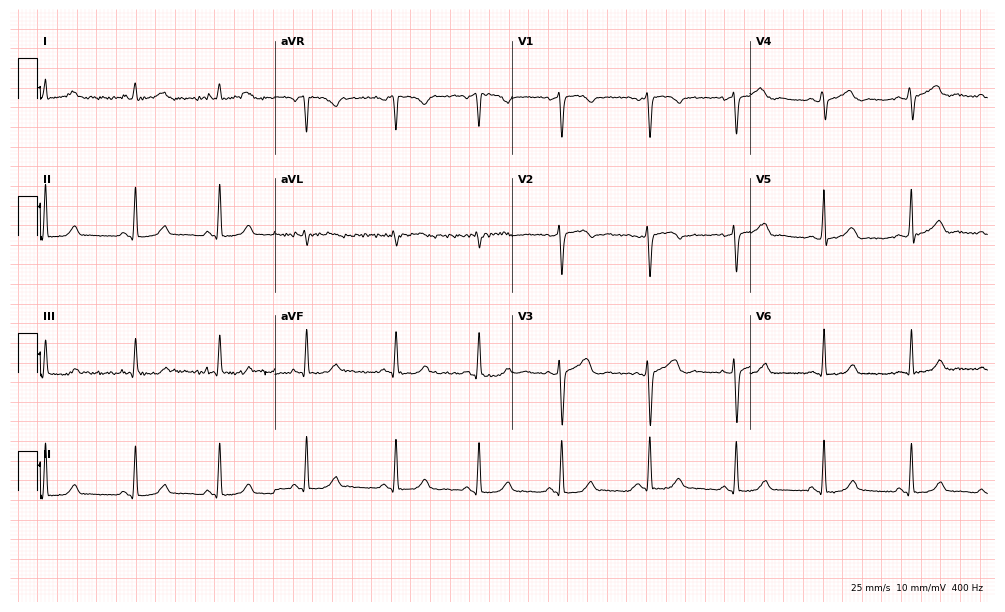
ECG — a woman, 32 years old. Labelled as a normal ECG.